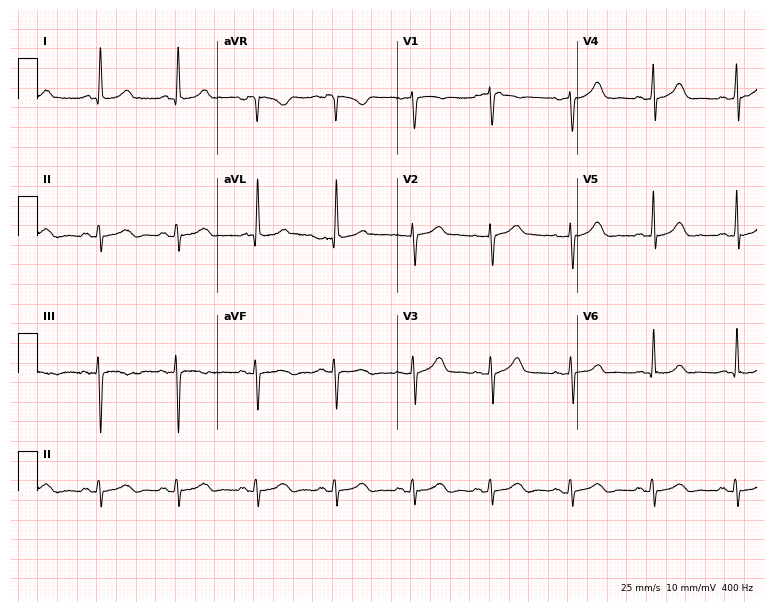
12-lead ECG (7.3-second recording at 400 Hz) from a 68-year-old female. Screened for six findings — first-degree AV block, right bundle branch block, left bundle branch block, sinus bradycardia, atrial fibrillation, sinus tachycardia — none is recorded.